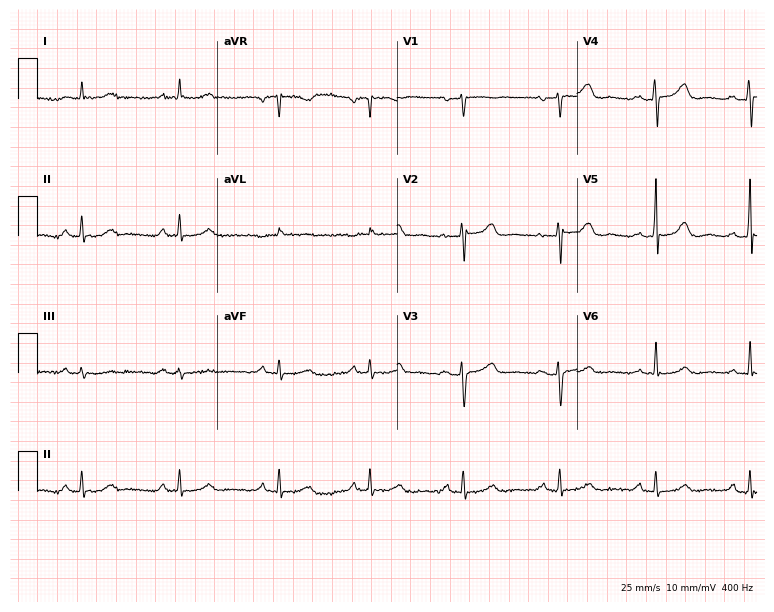
Electrocardiogram, a female patient, 56 years old. Overall reading on record: normal ECG.